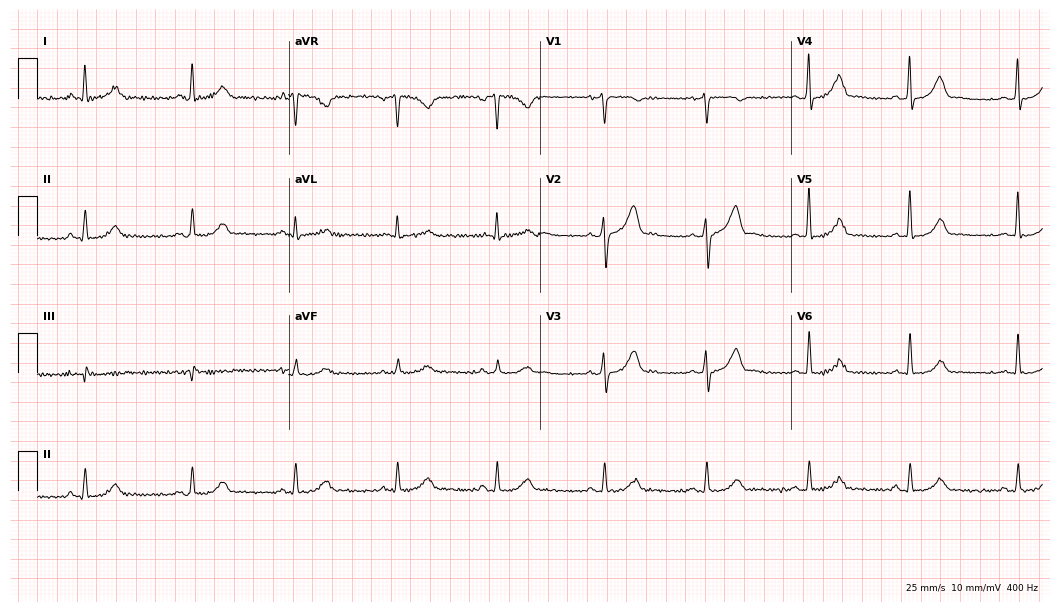
12-lead ECG from a 70-year-old male. Screened for six findings — first-degree AV block, right bundle branch block, left bundle branch block, sinus bradycardia, atrial fibrillation, sinus tachycardia — none is recorded.